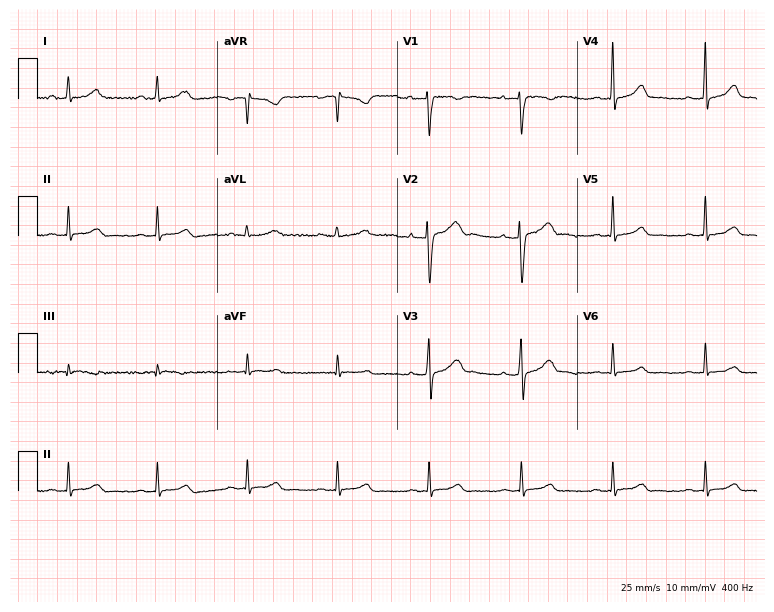
12-lead ECG from a woman, 37 years old (7.3-second recording at 400 Hz). Recorded interpretation: within normal limits.